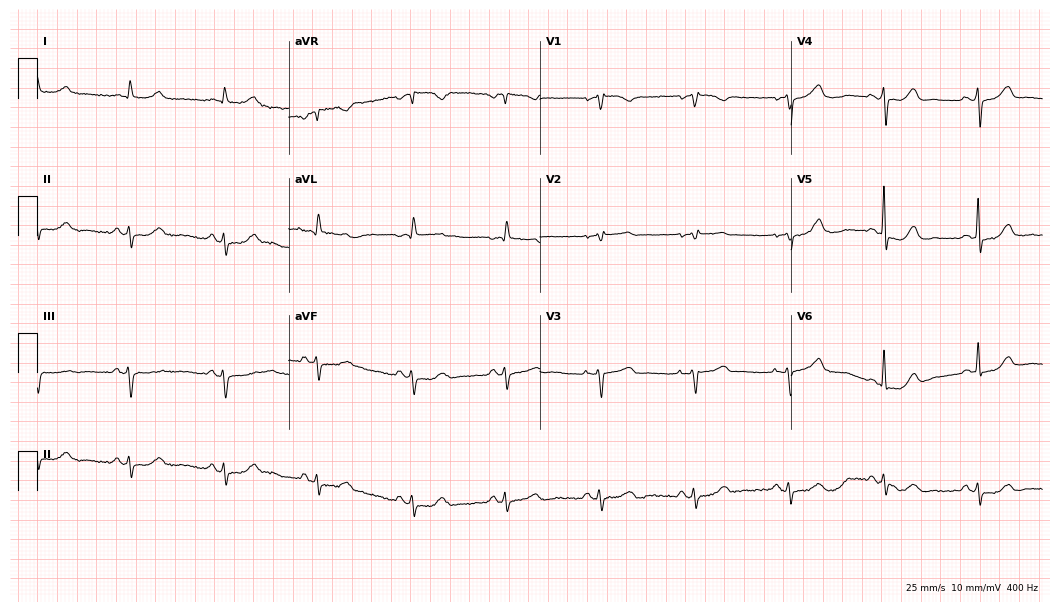
12-lead ECG (10.2-second recording at 400 Hz) from a 71-year-old female. Screened for six findings — first-degree AV block, right bundle branch block, left bundle branch block, sinus bradycardia, atrial fibrillation, sinus tachycardia — none is recorded.